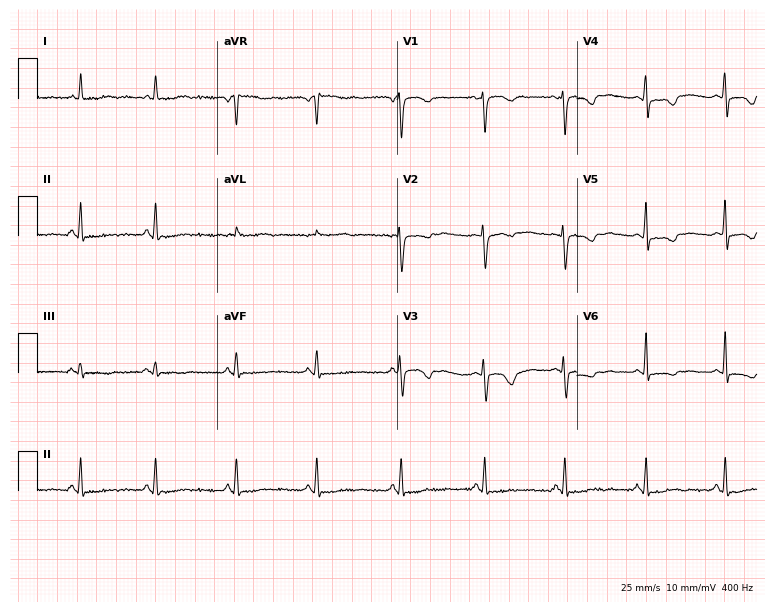
12-lead ECG from a female, 34 years old (7.3-second recording at 400 Hz). No first-degree AV block, right bundle branch block (RBBB), left bundle branch block (LBBB), sinus bradycardia, atrial fibrillation (AF) or sinus tachycardia recorded for this tracing.